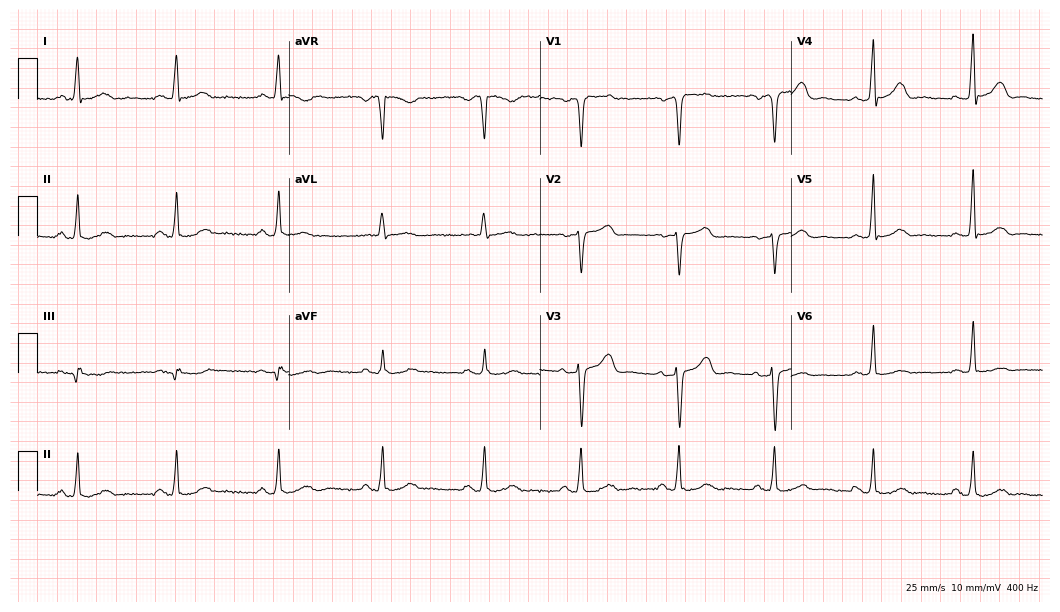
Electrocardiogram, a 43-year-old woman. Of the six screened findings (first-degree AV block, right bundle branch block, left bundle branch block, sinus bradycardia, atrial fibrillation, sinus tachycardia), none is recorded. Only these six findings were labelled.